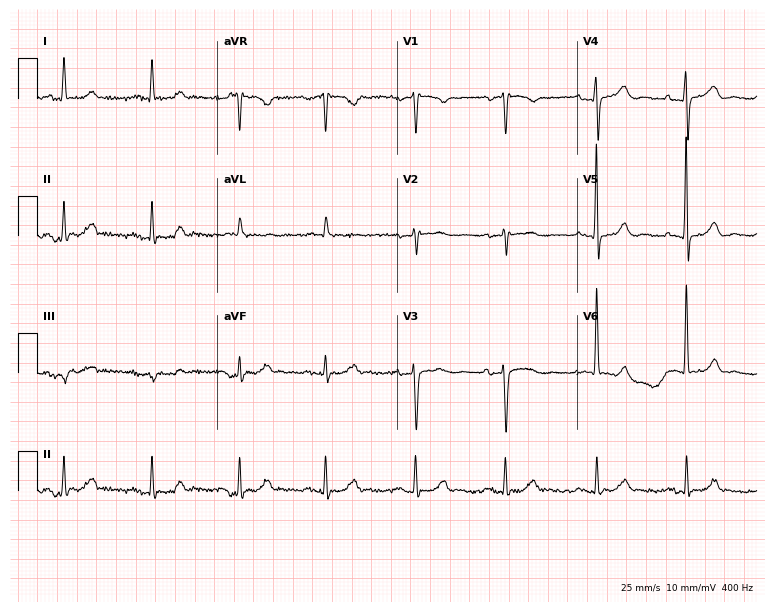
Standard 12-lead ECG recorded from a female, 78 years old. None of these six findings is recorded: first-degree AV block, right bundle branch block, left bundle branch block, sinus bradycardia, atrial fibrillation, sinus tachycardia.